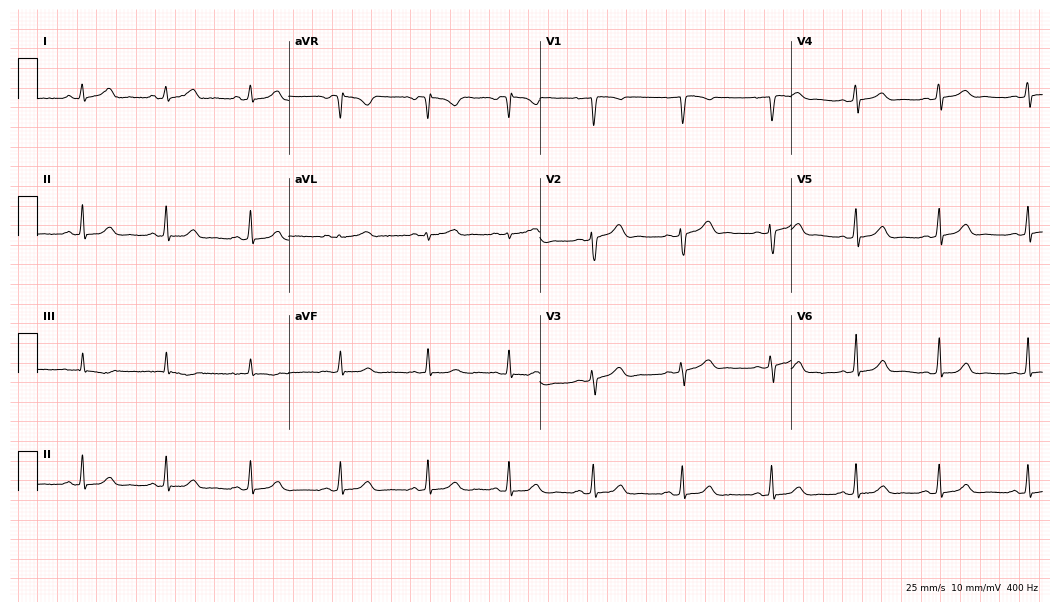
Resting 12-lead electrocardiogram (10.2-second recording at 400 Hz). Patient: a 22-year-old woman. Read as a normal ECG.